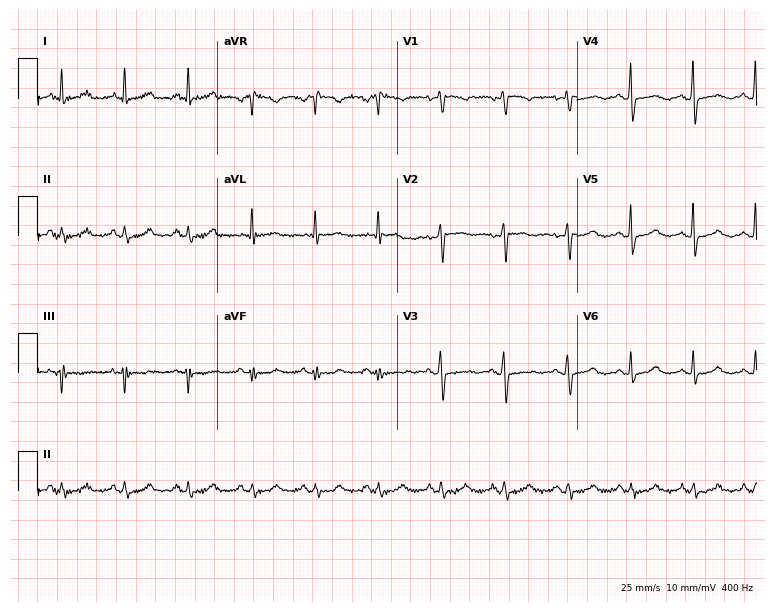
ECG — a 74-year-old woman. Screened for six findings — first-degree AV block, right bundle branch block (RBBB), left bundle branch block (LBBB), sinus bradycardia, atrial fibrillation (AF), sinus tachycardia — none is recorded.